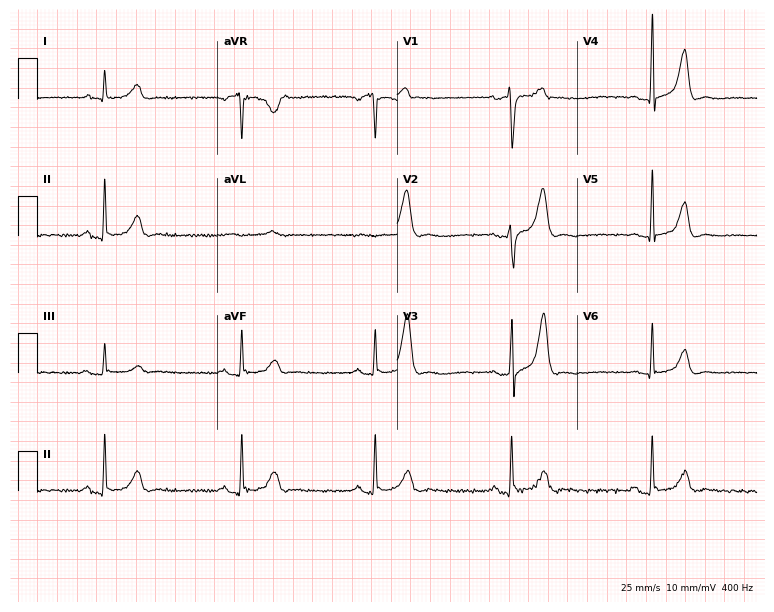
Resting 12-lead electrocardiogram (7.3-second recording at 400 Hz). Patient: a 35-year-old male. The tracing shows sinus bradycardia (a sinus rate of 50 beats per minute or less).